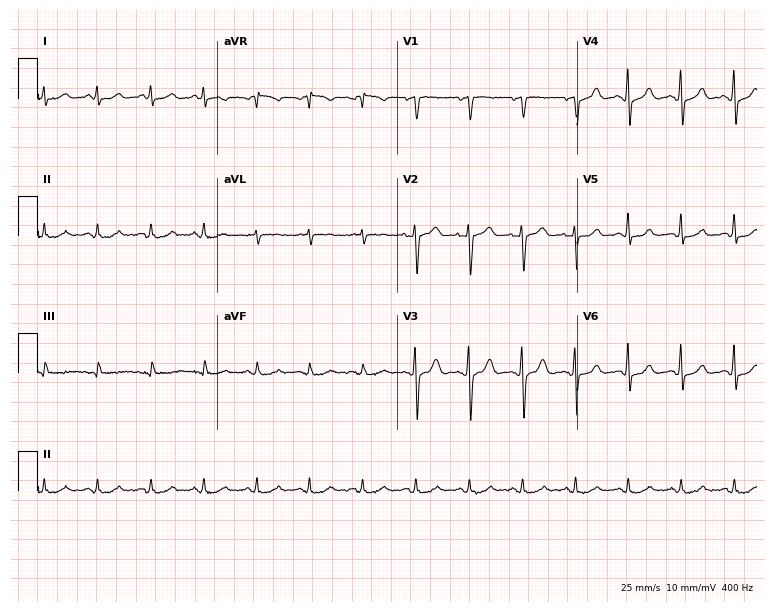
Electrocardiogram, a 65-year-old female patient. Interpretation includes sinus tachycardia (a sinus rate of 100 beats per minute or more).